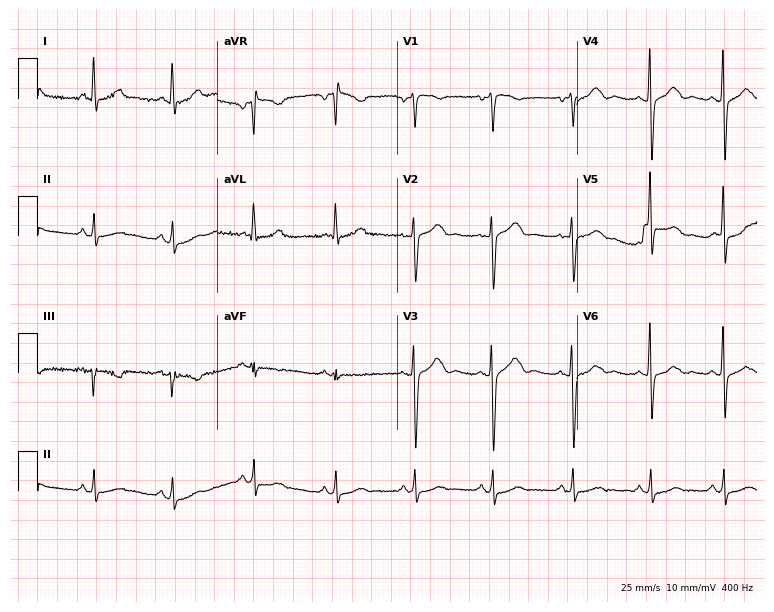
Electrocardiogram, a 48-year-old woman. Overall reading on record: normal ECG.